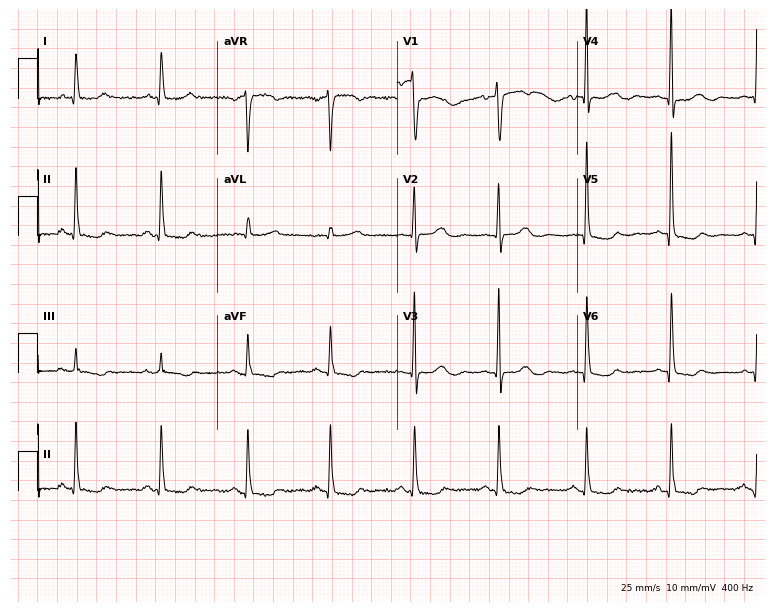
ECG — a female patient, 67 years old. Screened for six findings — first-degree AV block, right bundle branch block (RBBB), left bundle branch block (LBBB), sinus bradycardia, atrial fibrillation (AF), sinus tachycardia — none is recorded.